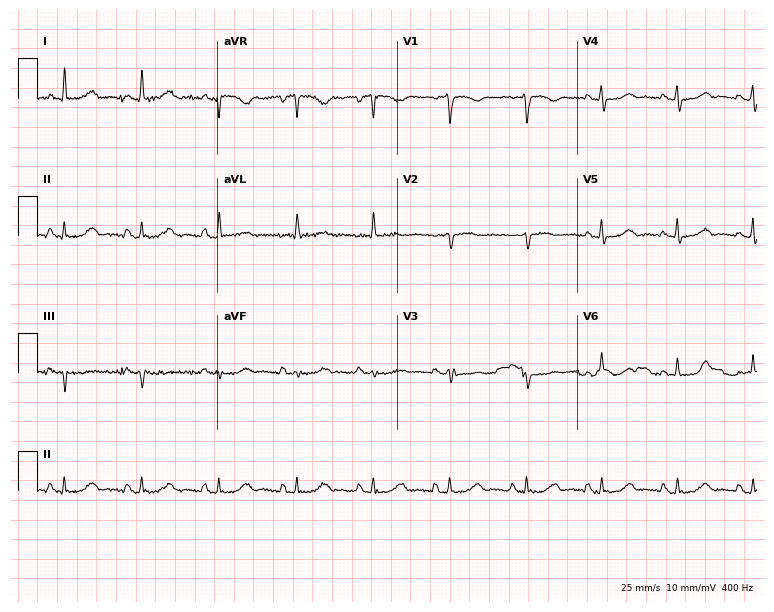
12-lead ECG from a 48-year-old female patient (7.3-second recording at 400 Hz). Recorded interpretation: within normal limits.